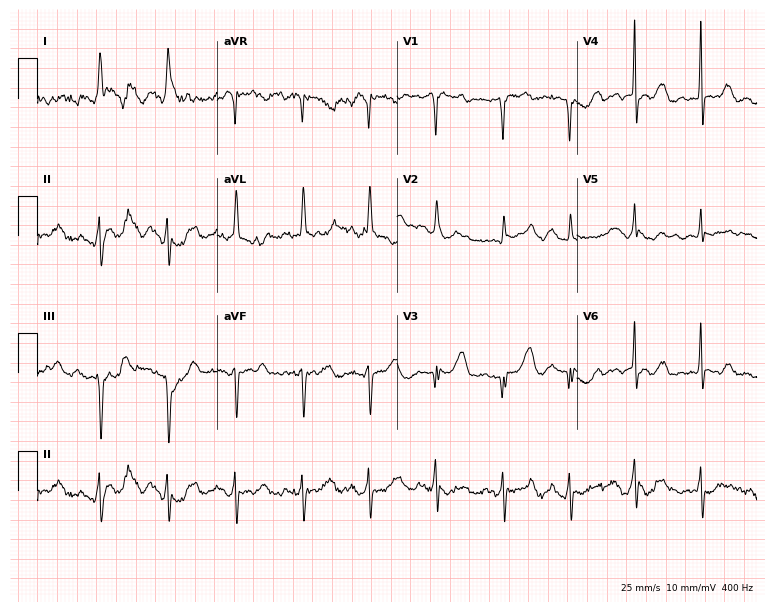
Electrocardiogram (7.3-second recording at 400 Hz), an 85-year-old woman. Of the six screened findings (first-degree AV block, right bundle branch block, left bundle branch block, sinus bradycardia, atrial fibrillation, sinus tachycardia), none is recorded. Only these six findings were labelled.